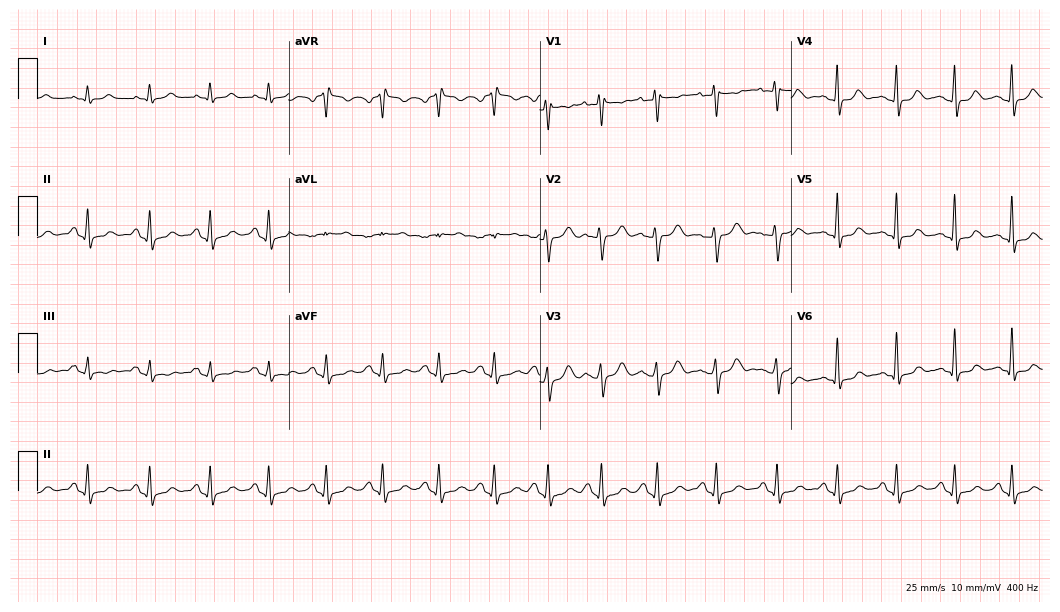
12-lead ECG from a 27-year-old female patient. Findings include sinus tachycardia (a sinus rate of 100 beats per minute or more).